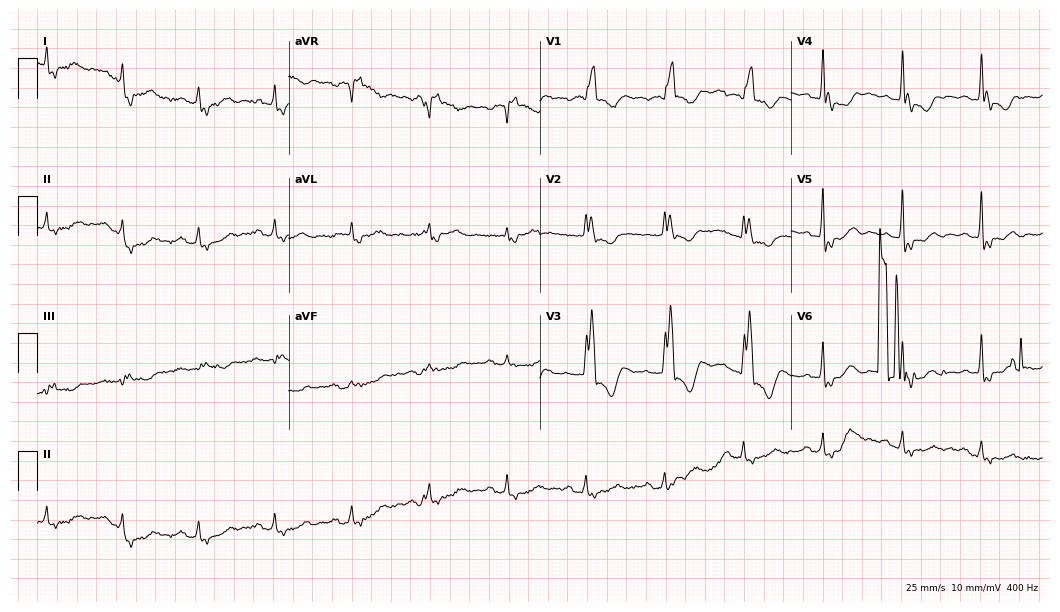
12-lead ECG from a 78-year-old woman. Shows atrial fibrillation.